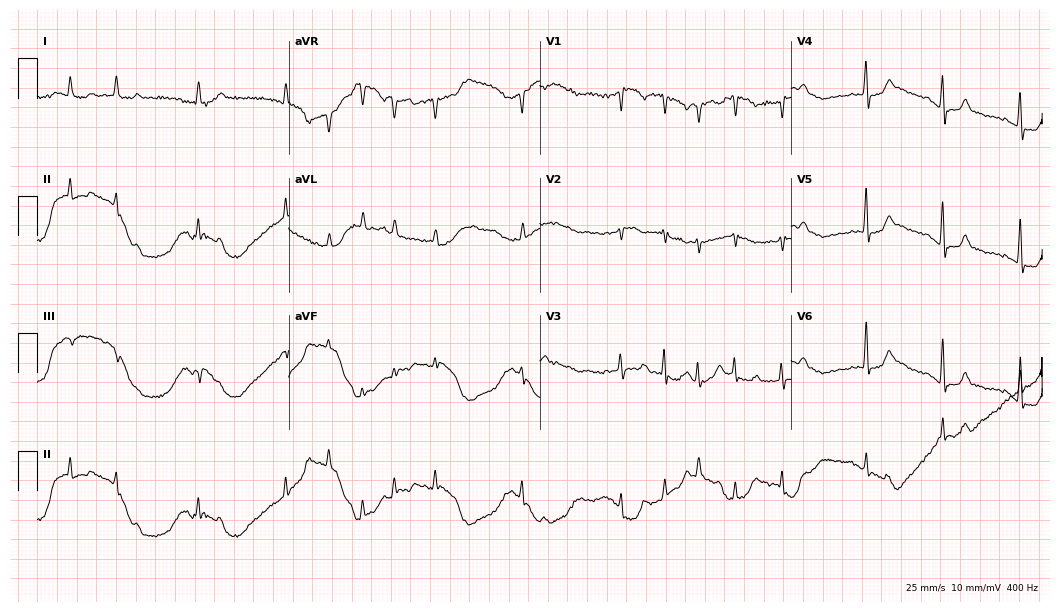
Resting 12-lead electrocardiogram (10.2-second recording at 400 Hz). Patient: an 84-year-old female. The tracing shows atrial fibrillation.